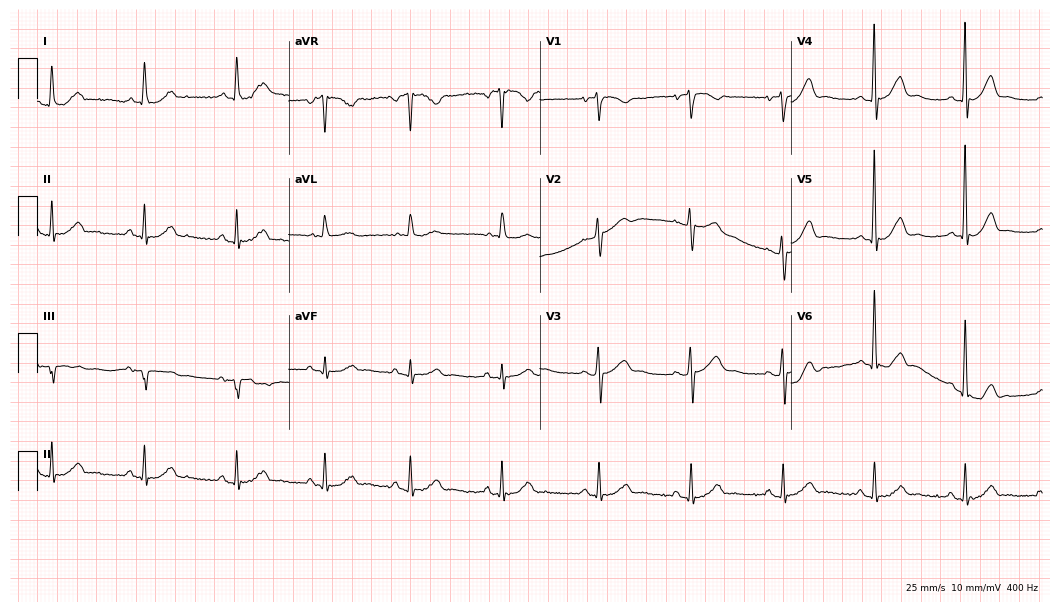
12-lead ECG from a 75-year-old woman. Screened for six findings — first-degree AV block, right bundle branch block (RBBB), left bundle branch block (LBBB), sinus bradycardia, atrial fibrillation (AF), sinus tachycardia — none is recorded.